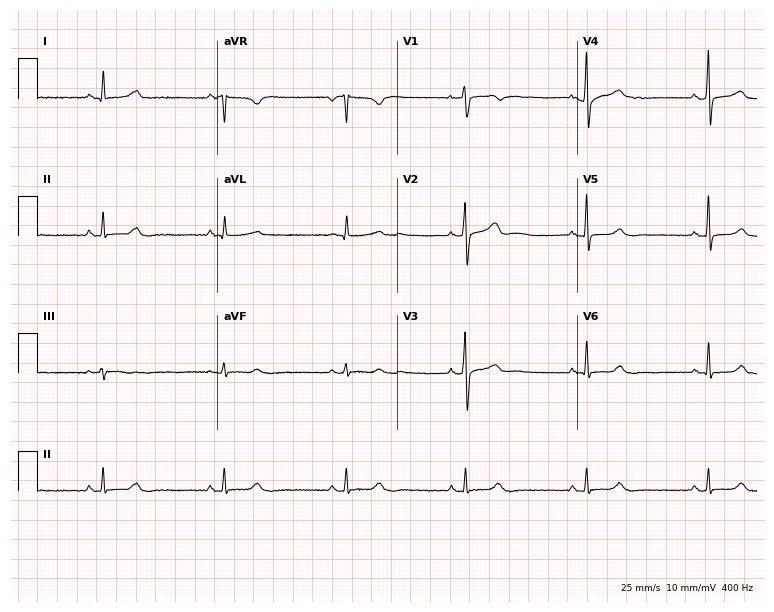
Resting 12-lead electrocardiogram (7.3-second recording at 400 Hz). Patient: a 47-year-old female. The tracing shows sinus bradycardia (a sinus rate of 50 beats per minute or less).